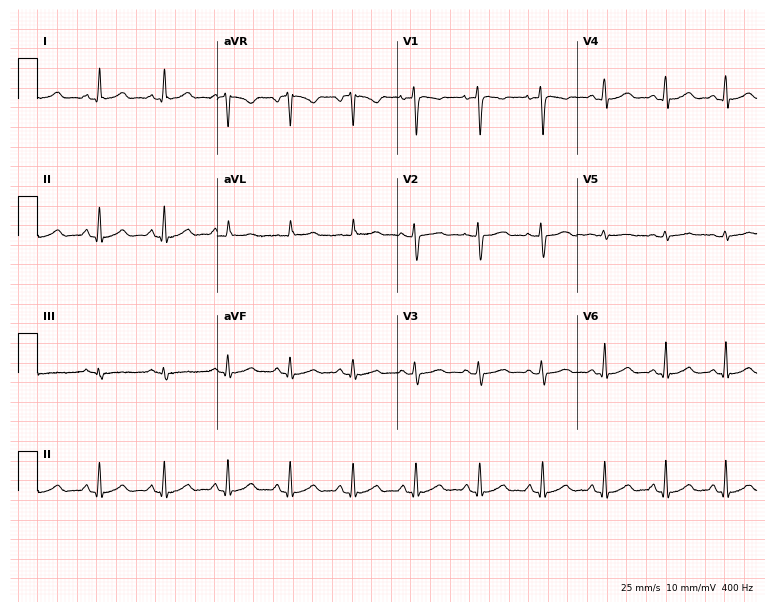
12-lead ECG (7.3-second recording at 400 Hz) from a woman, 35 years old. Labelled as a normal ECG.